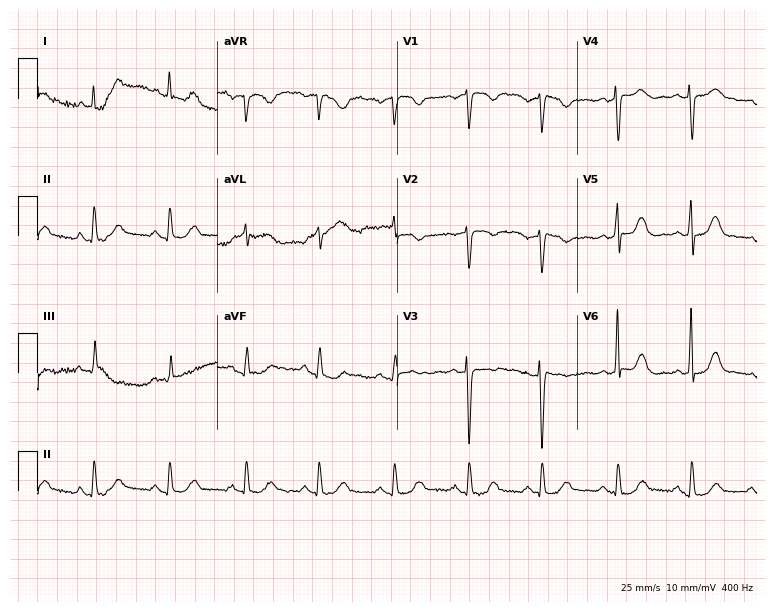
12-lead ECG from an 83-year-old female. Recorded interpretation: within normal limits.